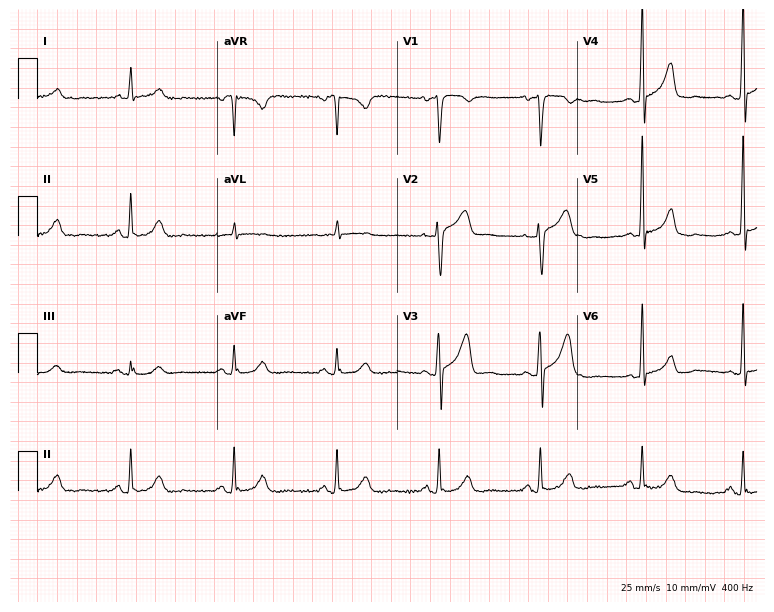
12-lead ECG (7.3-second recording at 400 Hz) from a man, 63 years old. Labelled as a normal ECG.